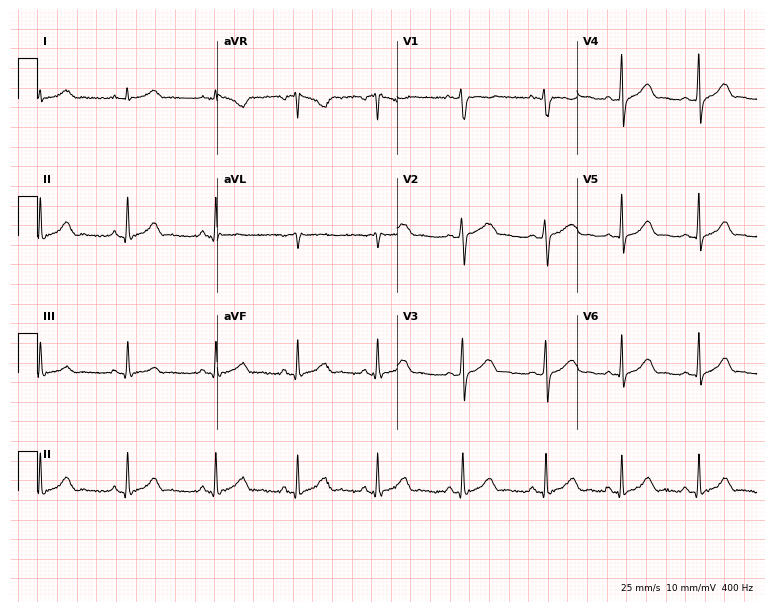
12-lead ECG (7.3-second recording at 400 Hz) from a 21-year-old female. Screened for six findings — first-degree AV block, right bundle branch block (RBBB), left bundle branch block (LBBB), sinus bradycardia, atrial fibrillation (AF), sinus tachycardia — none is recorded.